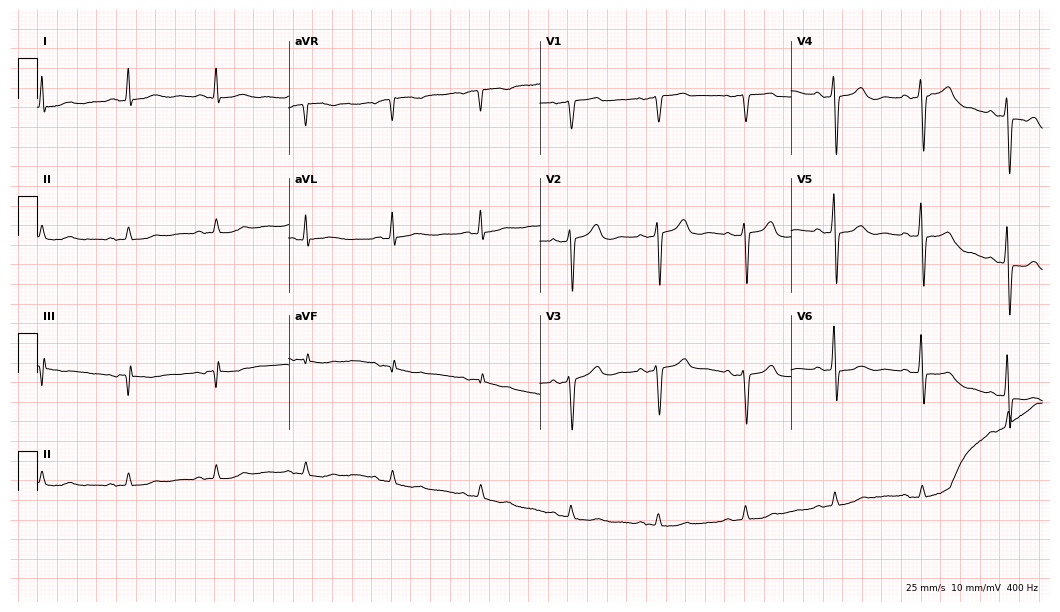
Standard 12-lead ECG recorded from a man, 77 years old. None of these six findings is recorded: first-degree AV block, right bundle branch block (RBBB), left bundle branch block (LBBB), sinus bradycardia, atrial fibrillation (AF), sinus tachycardia.